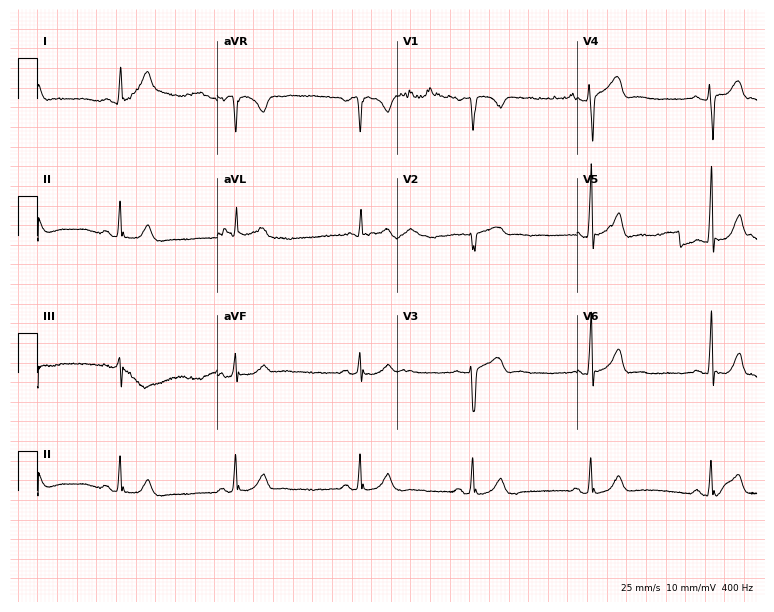
Electrocardiogram (7.3-second recording at 400 Hz), a male patient, 22 years old. Overall reading on record: normal ECG.